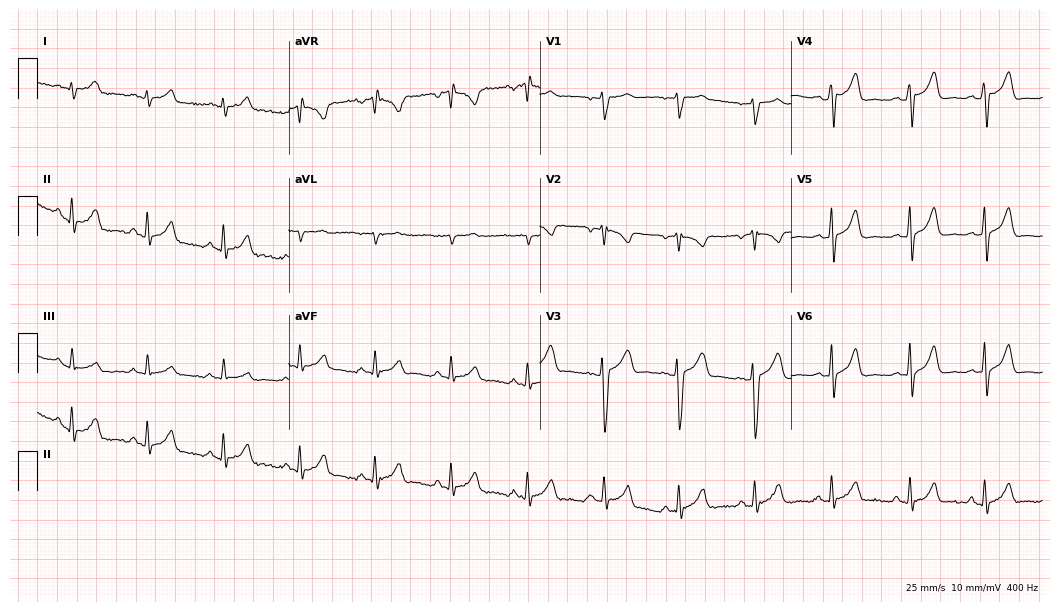
Resting 12-lead electrocardiogram. Patient: a woman, 34 years old. Read as a normal ECG.